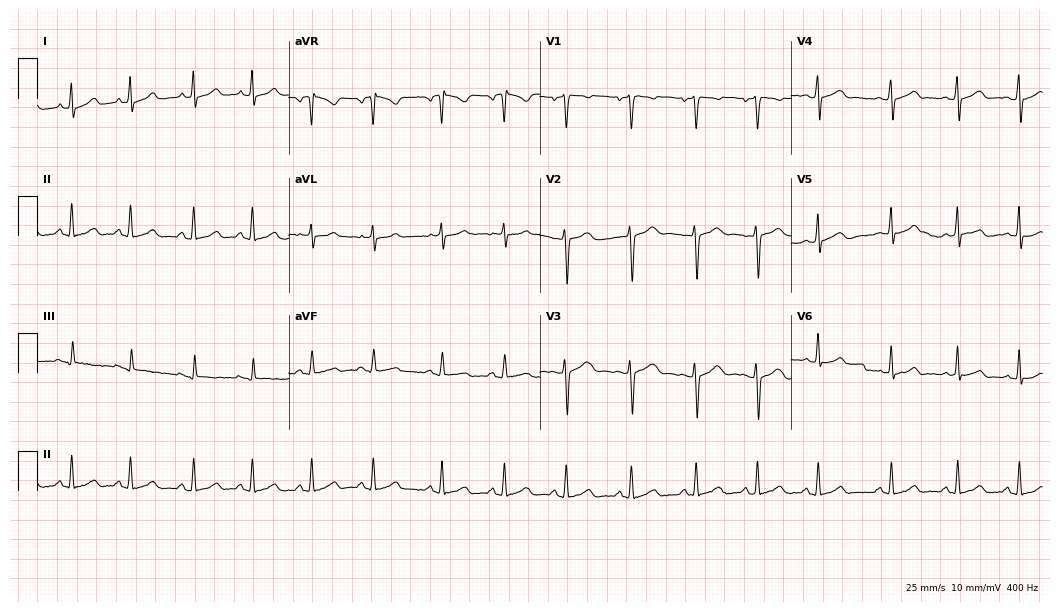
Electrocardiogram, a female, 20 years old. Overall reading on record: normal ECG.